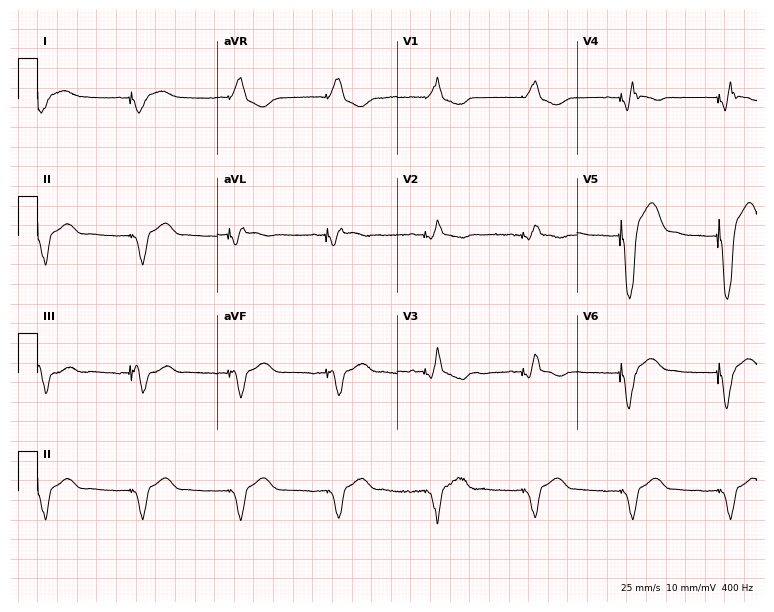
12-lead ECG (7.3-second recording at 400 Hz) from a 54-year-old man. Screened for six findings — first-degree AV block, right bundle branch block, left bundle branch block, sinus bradycardia, atrial fibrillation, sinus tachycardia — none is recorded. Only these six findings were labelled.